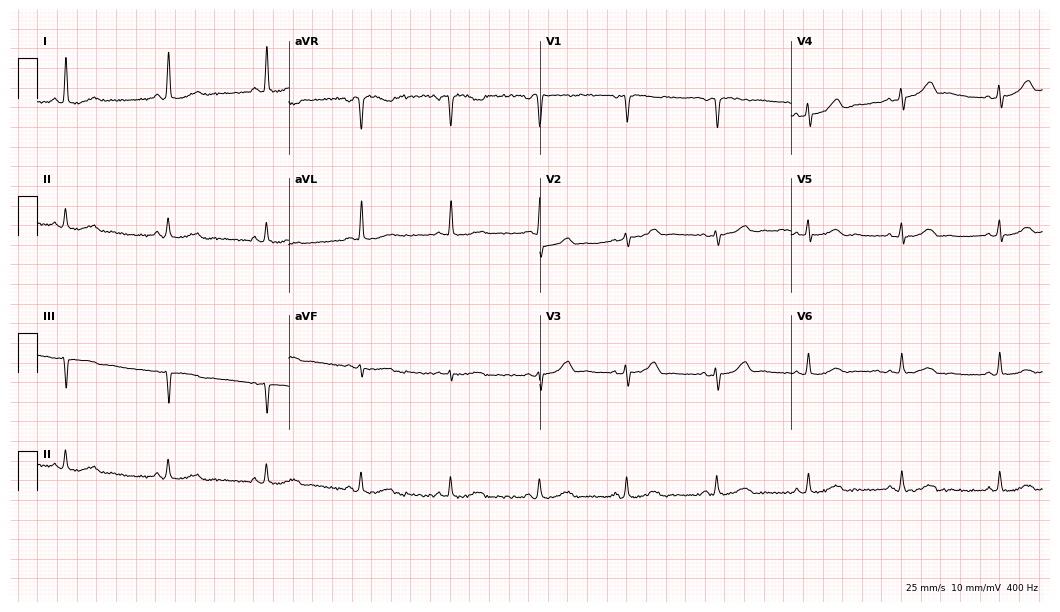
Standard 12-lead ECG recorded from a woman, 43 years old. Read as a normal ECG.